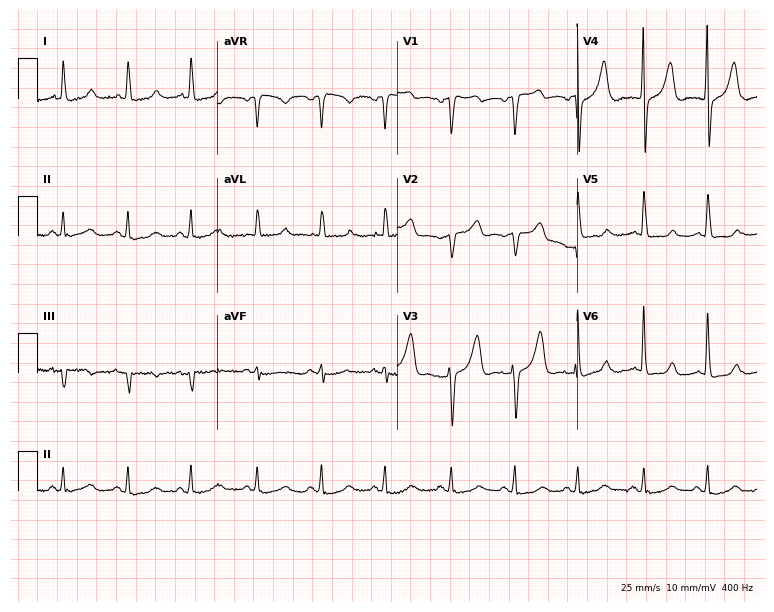
ECG (7.3-second recording at 400 Hz) — an 84-year-old woman. Labelled as a normal ECG.